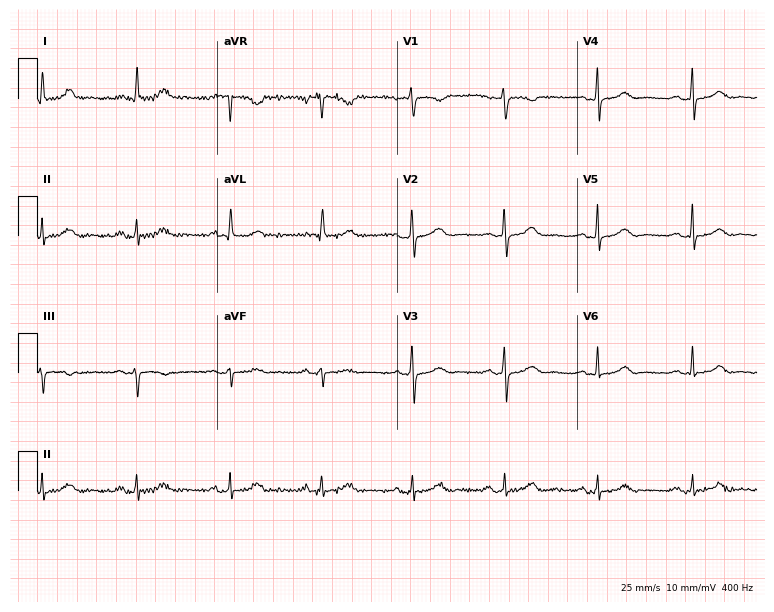
Standard 12-lead ECG recorded from a 58-year-old female patient. Read as a normal ECG.